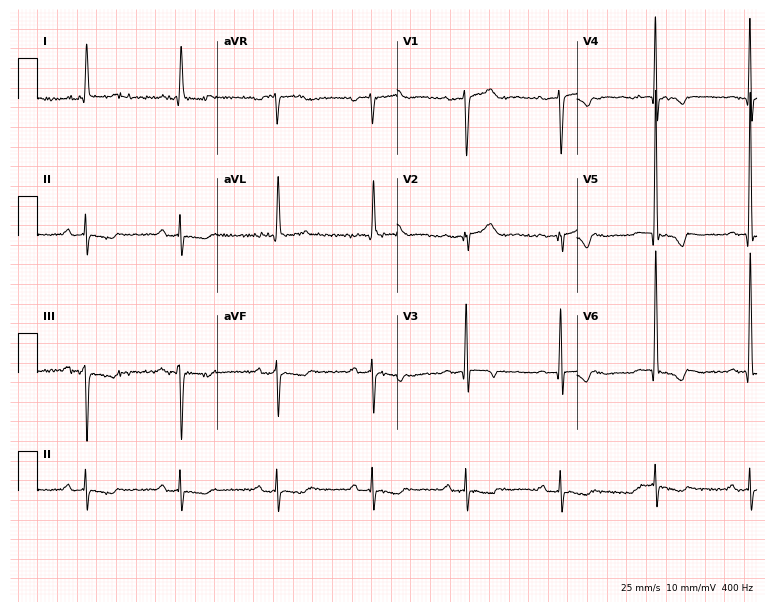
12-lead ECG from a 77-year-old woman. No first-degree AV block, right bundle branch block (RBBB), left bundle branch block (LBBB), sinus bradycardia, atrial fibrillation (AF) or sinus tachycardia recorded for this tracing. Only these six findings were labelled.